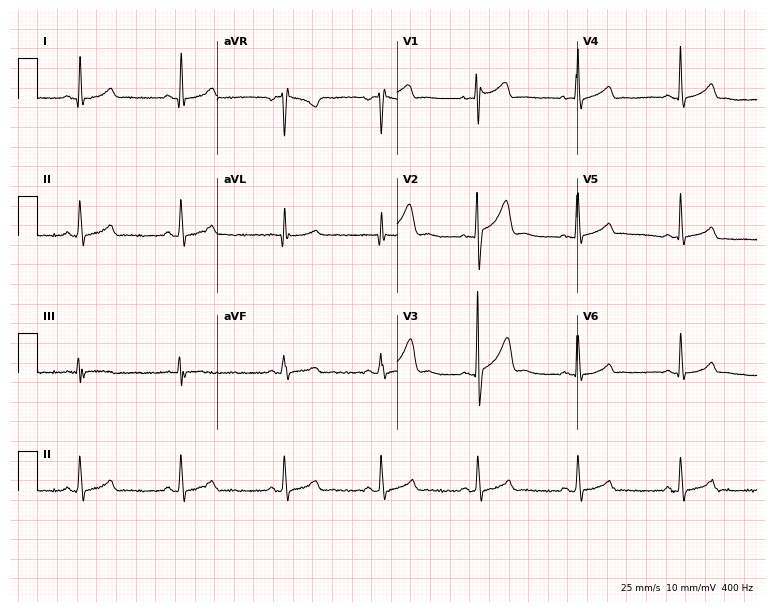
Standard 12-lead ECG recorded from a female patient, 47 years old (7.3-second recording at 400 Hz). Read as a normal ECG.